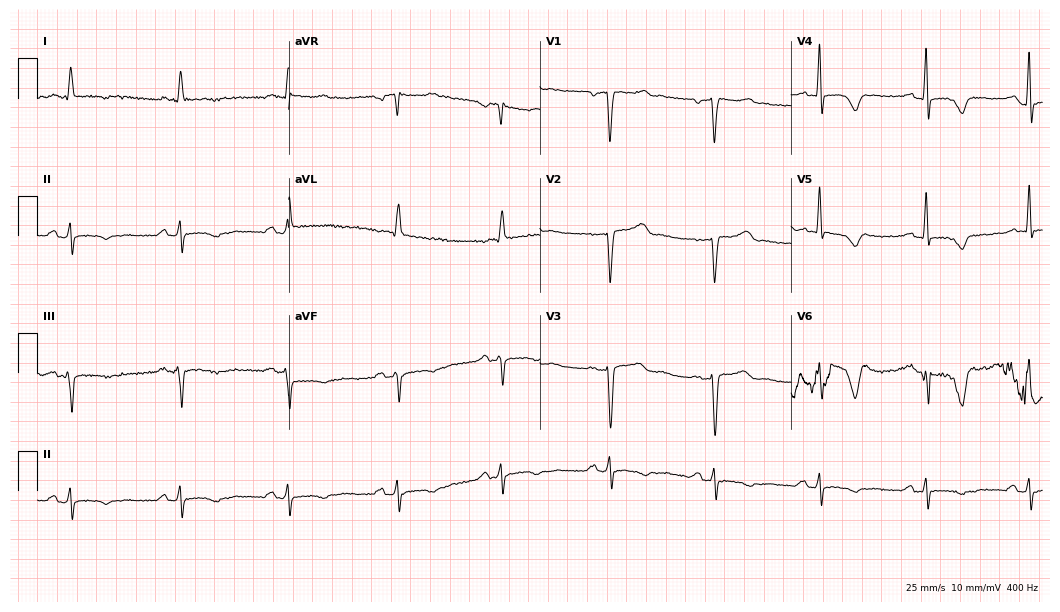
Electrocardiogram (10.2-second recording at 400 Hz), a male patient, 71 years old. Overall reading on record: normal ECG.